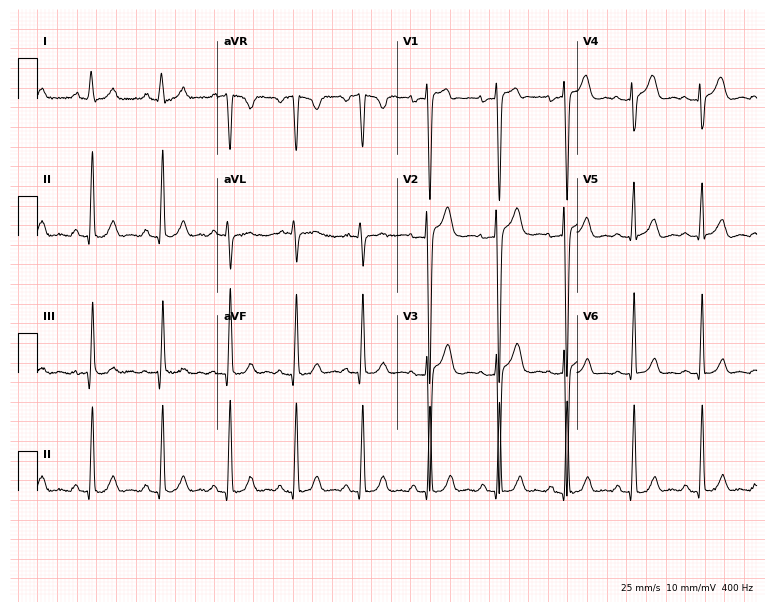
ECG — a woman, 20 years old. Screened for six findings — first-degree AV block, right bundle branch block, left bundle branch block, sinus bradycardia, atrial fibrillation, sinus tachycardia — none is recorded.